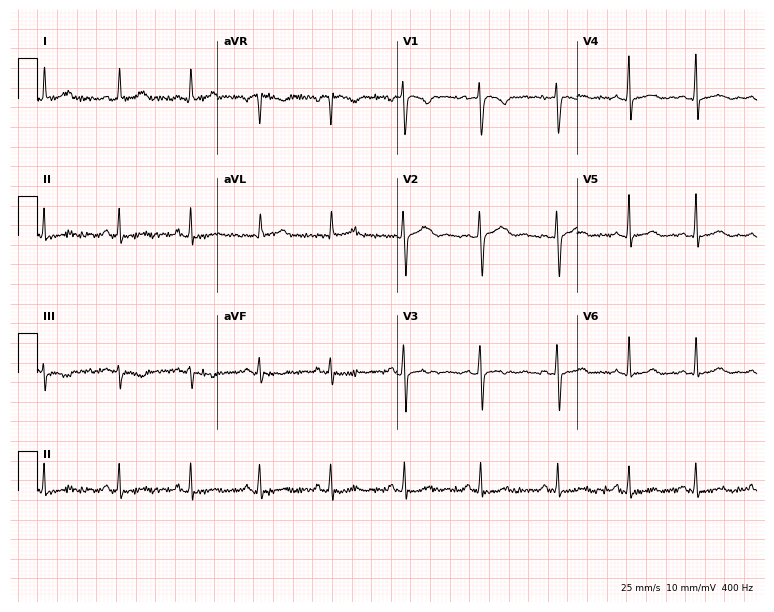
12-lead ECG from a woman, 42 years old. Recorded interpretation: within normal limits.